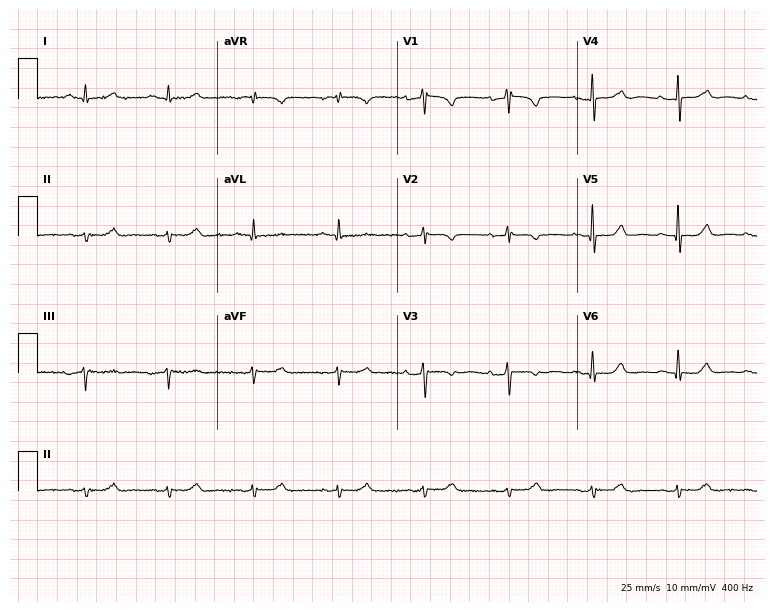
Electrocardiogram (7.3-second recording at 400 Hz), a 72-year-old female patient. Overall reading on record: normal ECG.